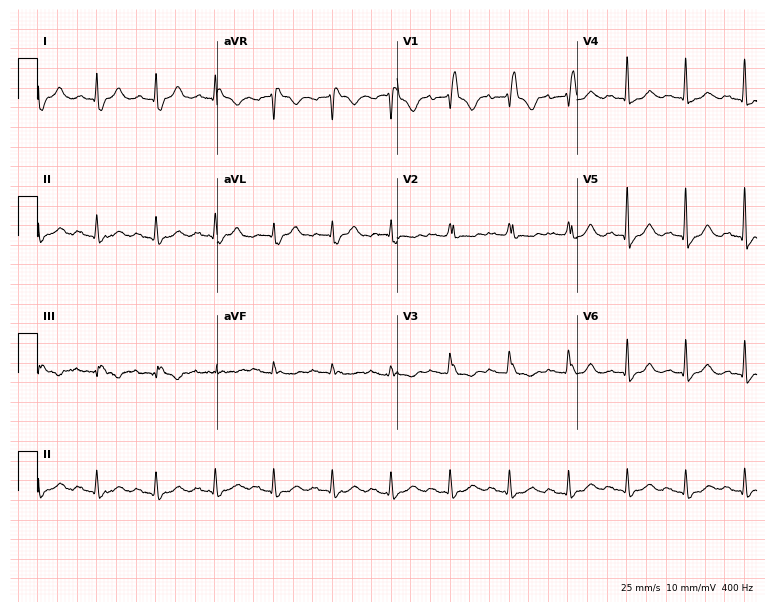
12-lead ECG from an 84-year-old female. Shows first-degree AV block, right bundle branch block.